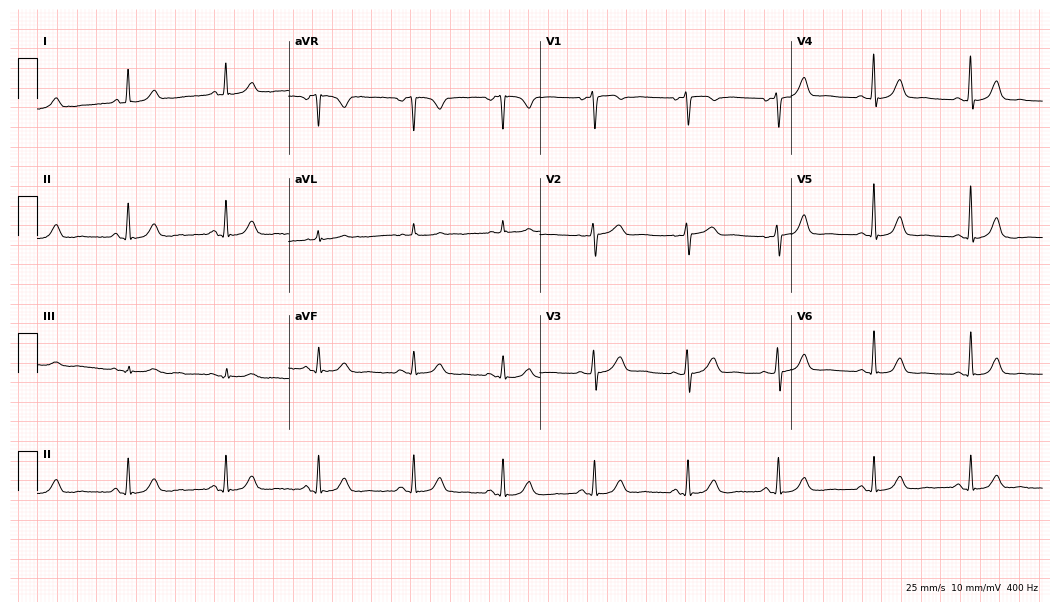
Electrocardiogram (10.2-second recording at 400 Hz), a female patient, 62 years old. Overall reading on record: normal ECG.